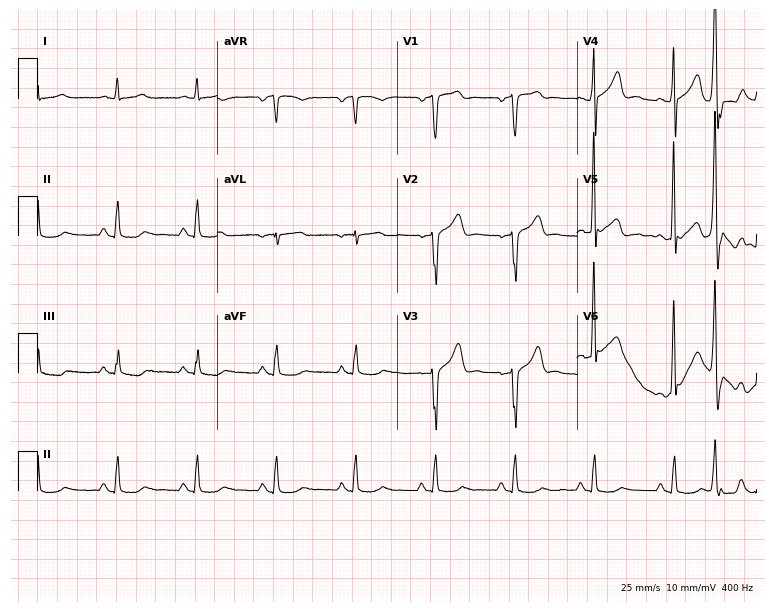
ECG (7.3-second recording at 400 Hz) — a 74-year-old male patient. Screened for six findings — first-degree AV block, right bundle branch block, left bundle branch block, sinus bradycardia, atrial fibrillation, sinus tachycardia — none is recorded.